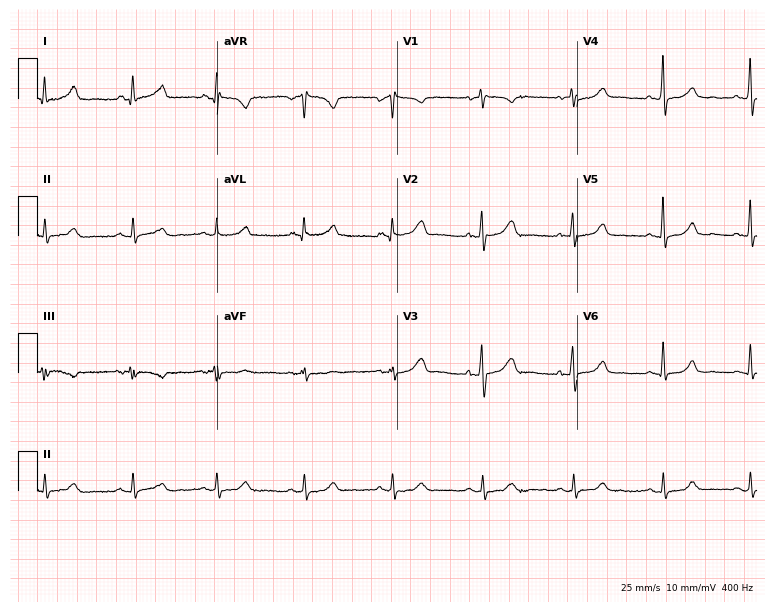
12-lead ECG from a 65-year-old female. Labelled as a normal ECG.